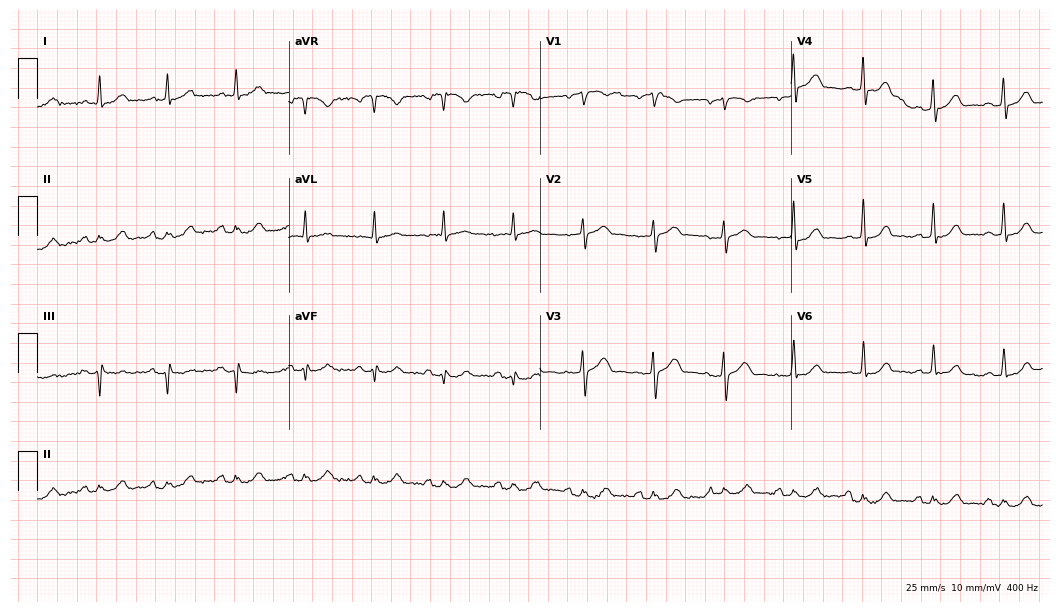
12-lead ECG from a 66-year-old male (10.2-second recording at 400 Hz). Recorded interpretation: within normal limits.